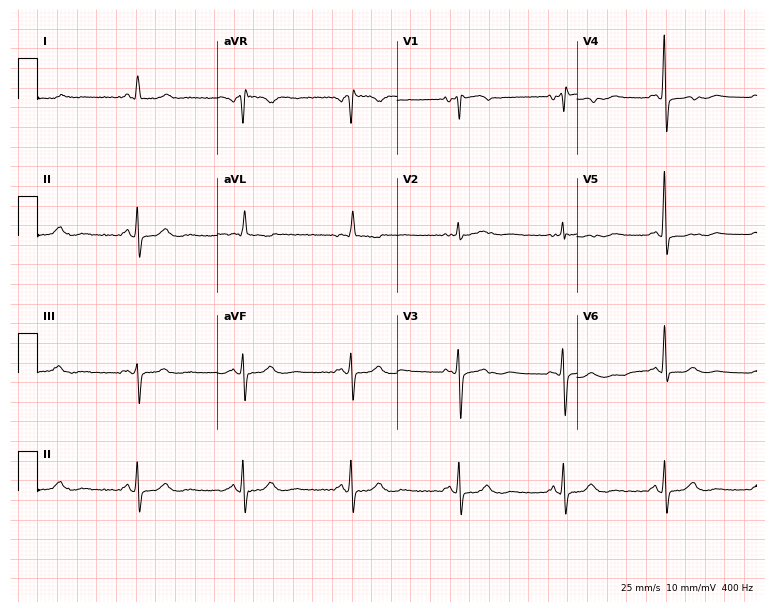
Standard 12-lead ECG recorded from a female, 64 years old. None of these six findings is recorded: first-degree AV block, right bundle branch block (RBBB), left bundle branch block (LBBB), sinus bradycardia, atrial fibrillation (AF), sinus tachycardia. Other findings, if any, are not listed.